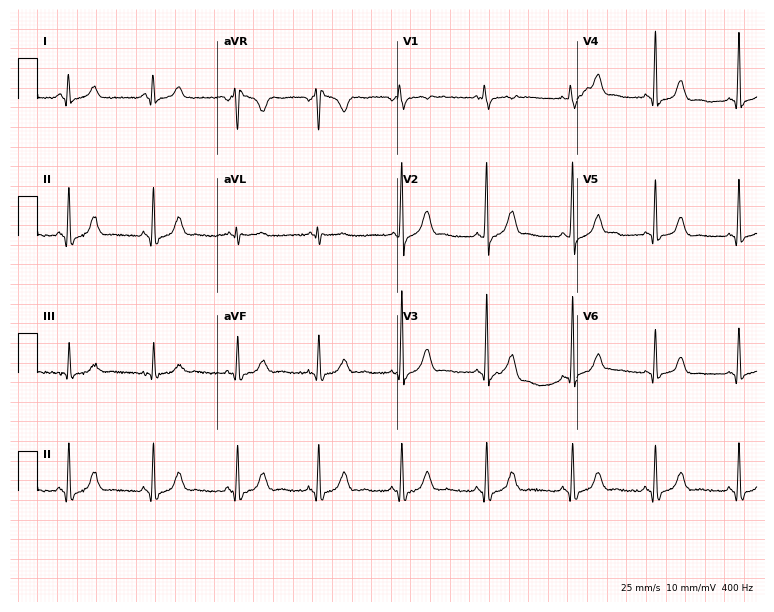
ECG — a woman, 29 years old. Screened for six findings — first-degree AV block, right bundle branch block (RBBB), left bundle branch block (LBBB), sinus bradycardia, atrial fibrillation (AF), sinus tachycardia — none is recorded. Only these six findings were labelled.